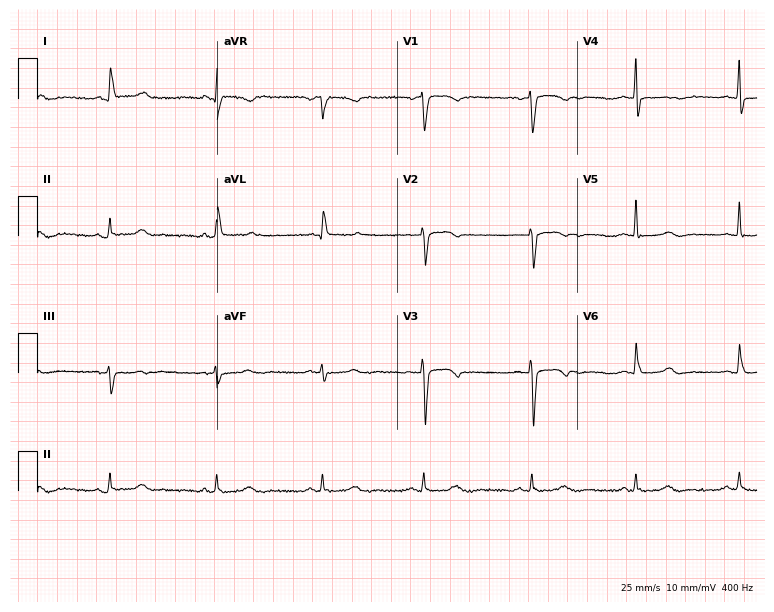
12-lead ECG from a female patient, 65 years old. No first-degree AV block, right bundle branch block (RBBB), left bundle branch block (LBBB), sinus bradycardia, atrial fibrillation (AF) or sinus tachycardia recorded for this tracing.